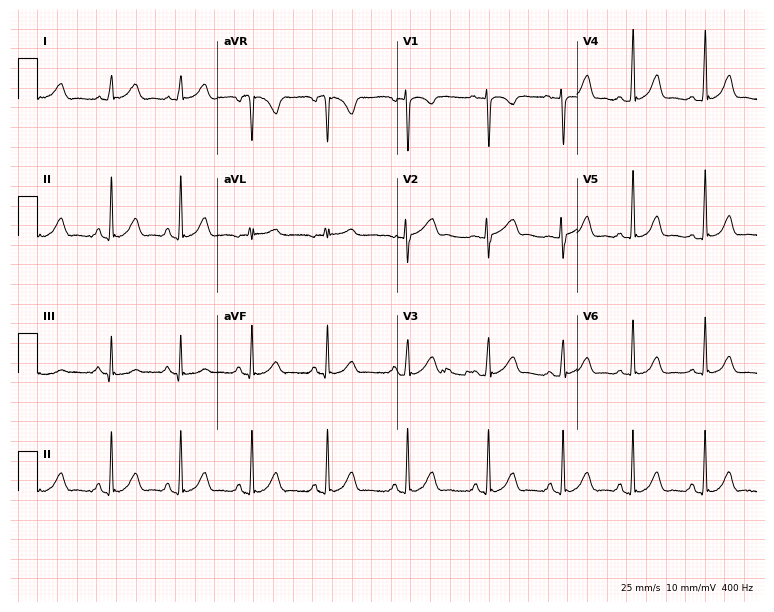
12-lead ECG from a female patient, 28 years old. Screened for six findings — first-degree AV block, right bundle branch block, left bundle branch block, sinus bradycardia, atrial fibrillation, sinus tachycardia — none is recorded. Other findings, if any, are not listed.